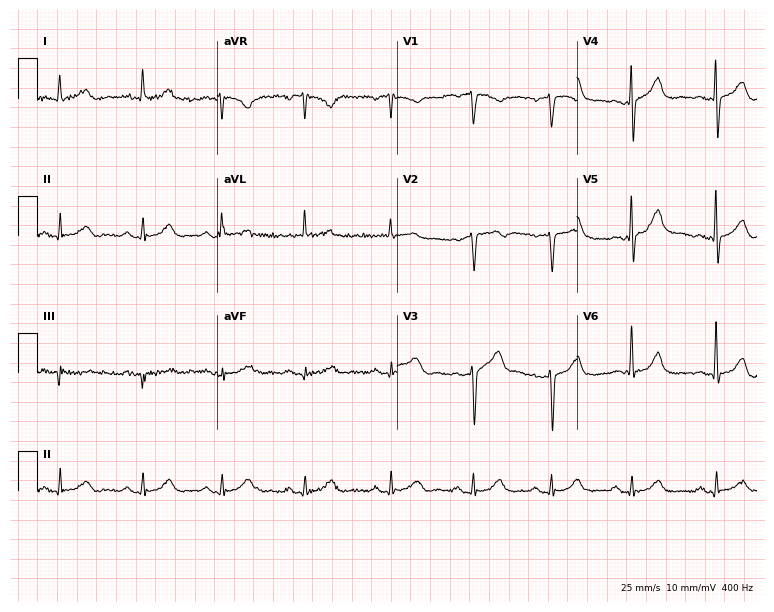
12-lead ECG (7.3-second recording at 400 Hz) from a man, 80 years old. Screened for six findings — first-degree AV block, right bundle branch block, left bundle branch block, sinus bradycardia, atrial fibrillation, sinus tachycardia — none is recorded. Only these six findings were labelled.